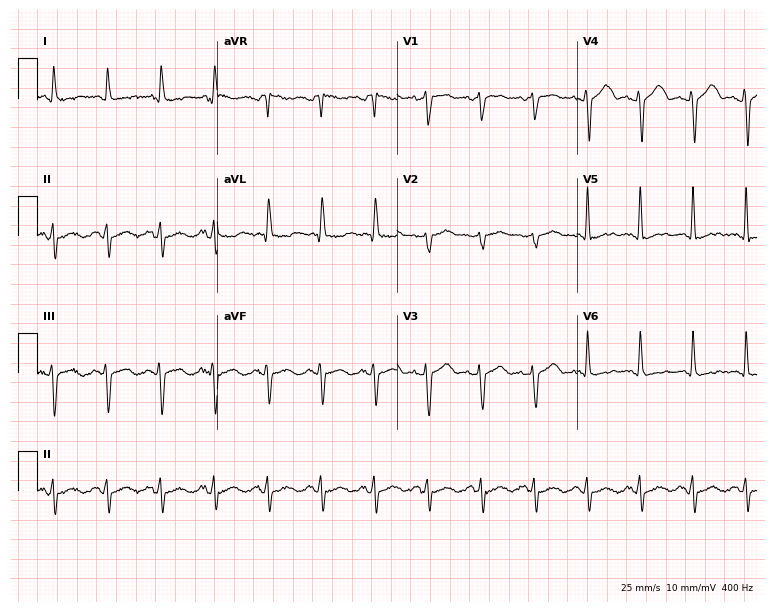
ECG (7.3-second recording at 400 Hz) — a woman, 76 years old. Screened for six findings — first-degree AV block, right bundle branch block, left bundle branch block, sinus bradycardia, atrial fibrillation, sinus tachycardia — none is recorded. Only these six findings were labelled.